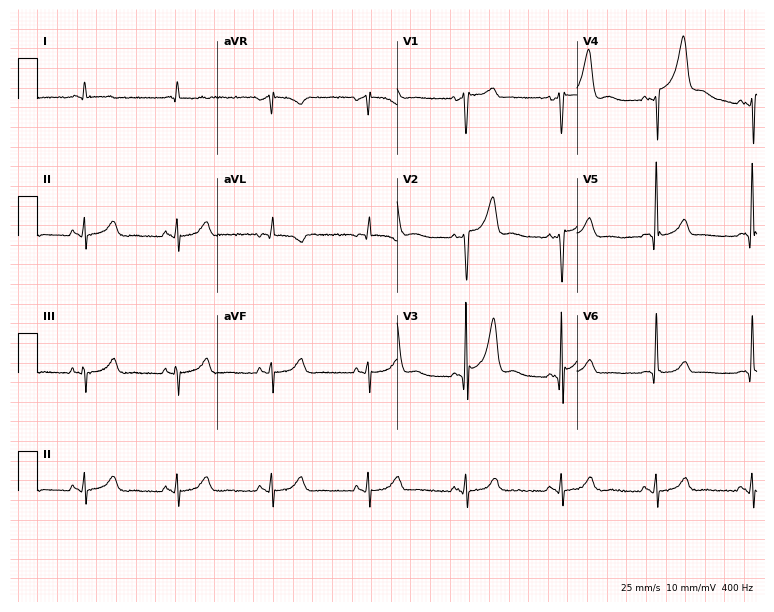
Resting 12-lead electrocardiogram. Patient: a 61-year-old man. None of these six findings is recorded: first-degree AV block, right bundle branch block (RBBB), left bundle branch block (LBBB), sinus bradycardia, atrial fibrillation (AF), sinus tachycardia.